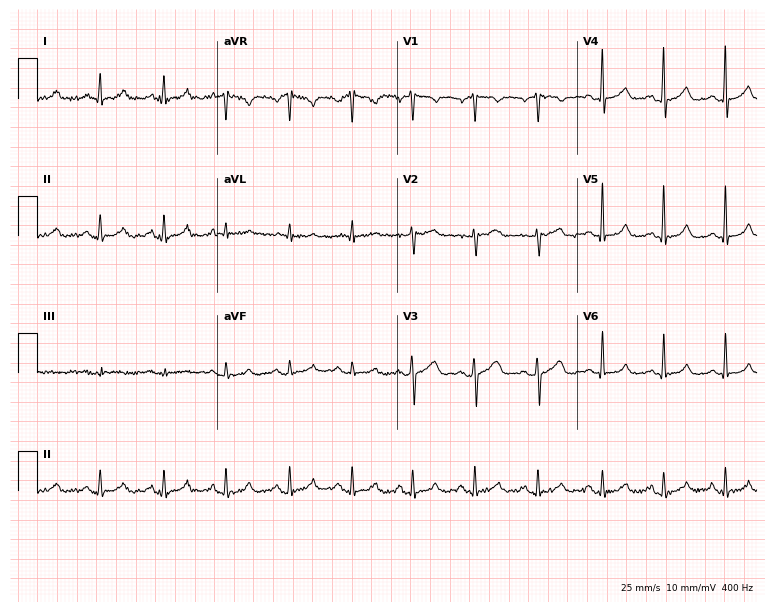
Resting 12-lead electrocardiogram. Patient: a female, 37 years old. Read as a normal ECG.